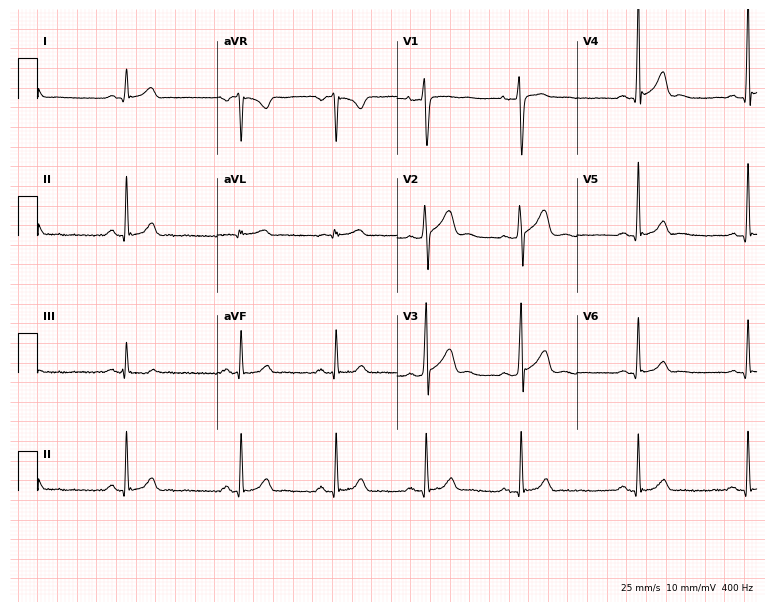
Resting 12-lead electrocardiogram (7.3-second recording at 400 Hz). Patient: a male, 27 years old. None of these six findings is recorded: first-degree AV block, right bundle branch block, left bundle branch block, sinus bradycardia, atrial fibrillation, sinus tachycardia. Findings outside these six are not listed.